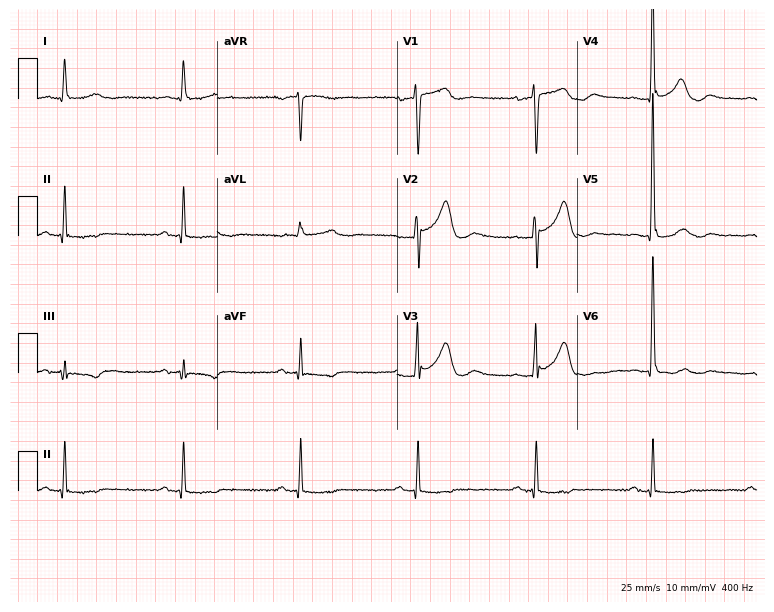
12-lead ECG from a male patient, 83 years old. Findings include sinus bradycardia (a sinus rate of 50 beats per minute or less).